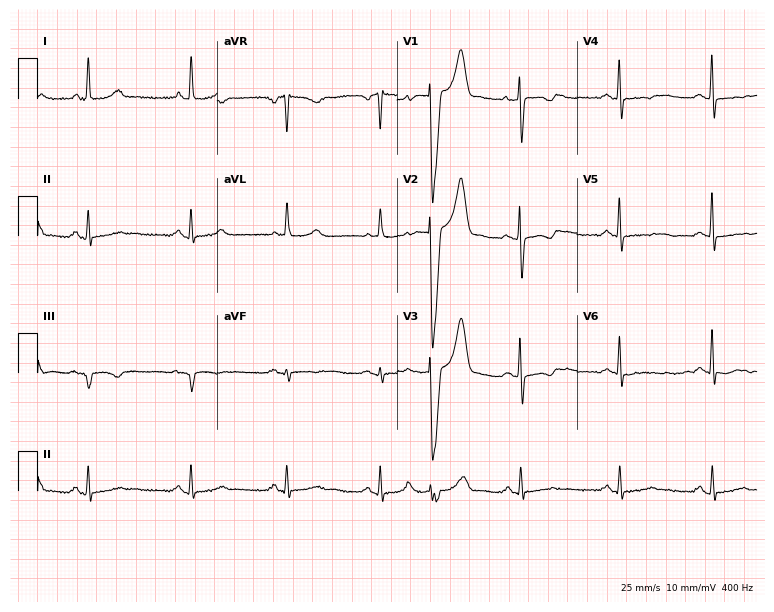
12-lead ECG from a woman, 62 years old. Screened for six findings — first-degree AV block, right bundle branch block, left bundle branch block, sinus bradycardia, atrial fibrillation, sinus tachycardia — none is recorded. Other findings, if any, are not listed.